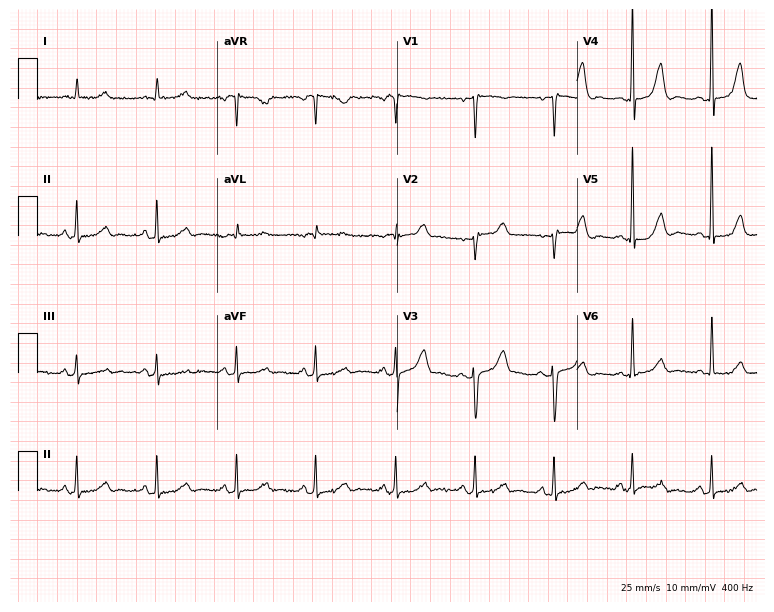
ECG — a 67-year-old female patient. Screened for six findings — first-degree AV block, right bundle branch block (RBBB), left bundle branch block (LBBB), sinus bradycardia, atrial fibrillation (AF), sinus tachycardia — none is recorded. Findings outside these six are not listed.